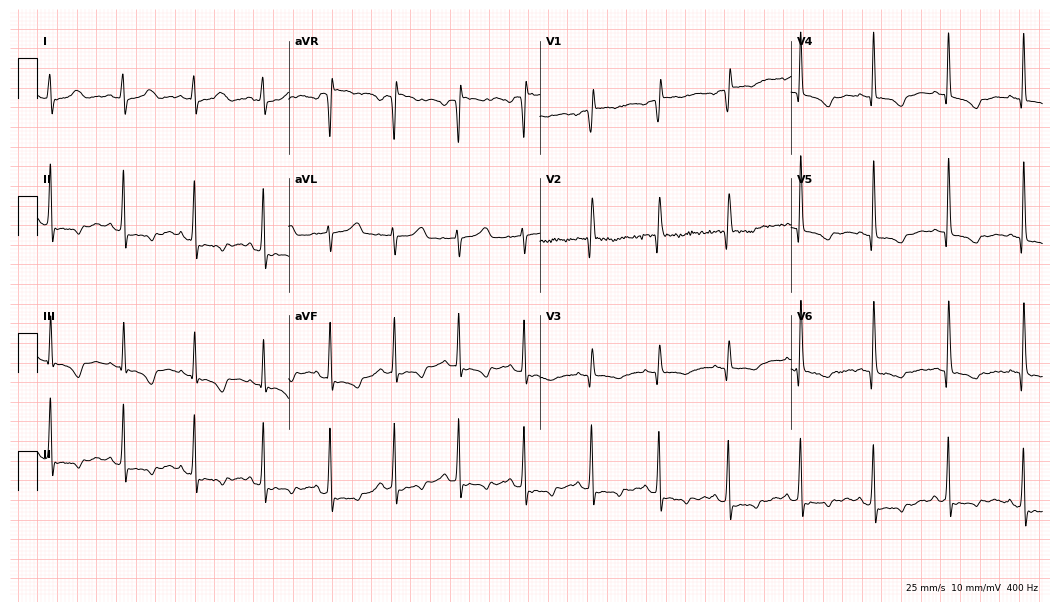
12-lead ECG from a 53-year-old woman (10.2-second recording at 400 Hz). No first-degree AV block, right bundle branch block, left bundle branch block, sinus bradycardia, atrial fibrillation or sinus tachycardia recorded for this tracing.